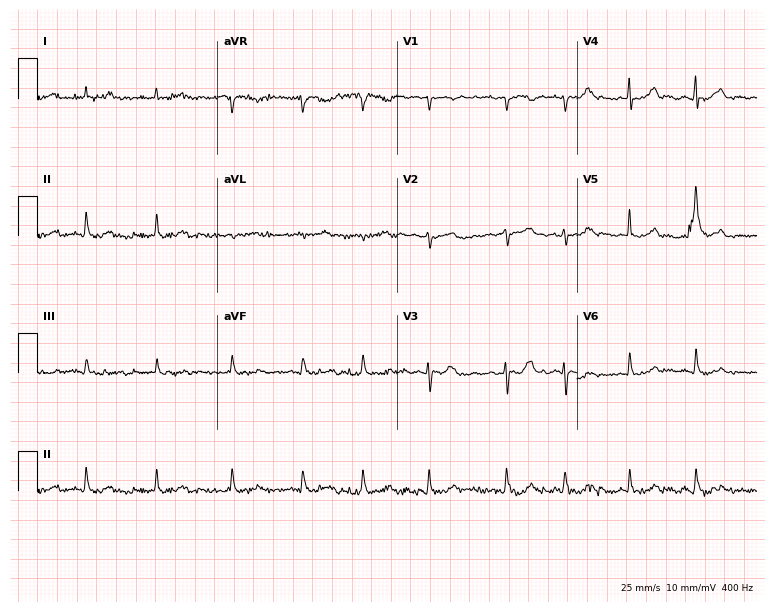
12-lead ECG from a man, 70 years old (7.3-second recording at 400 Hz). No first-degree AV block, right bundle branch block, left bundle branch block, sinus bradycardia, atrial fibrillation or sinus tachycardia recorded for this tracing.